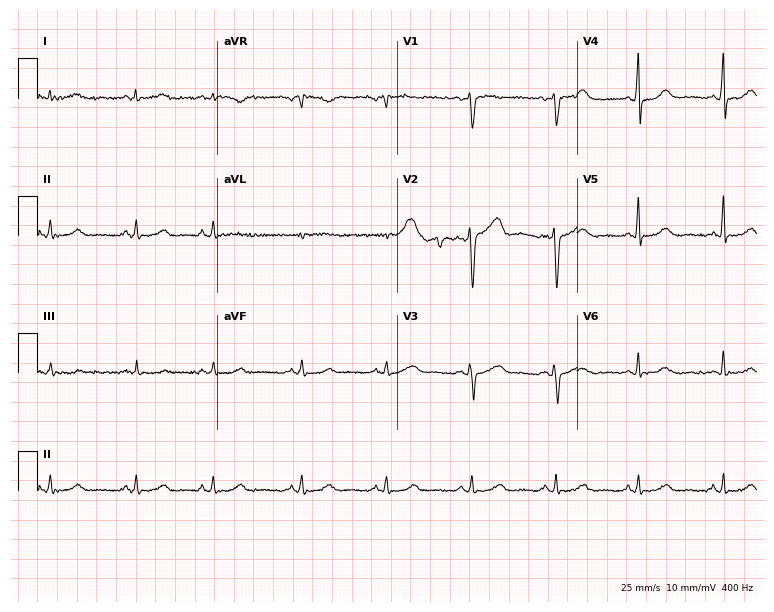
Resting 12-lead electrocardiogram (7.3-second recording at 400 Hz). Patient: a 45-year-old male. Read as a normal ECG.